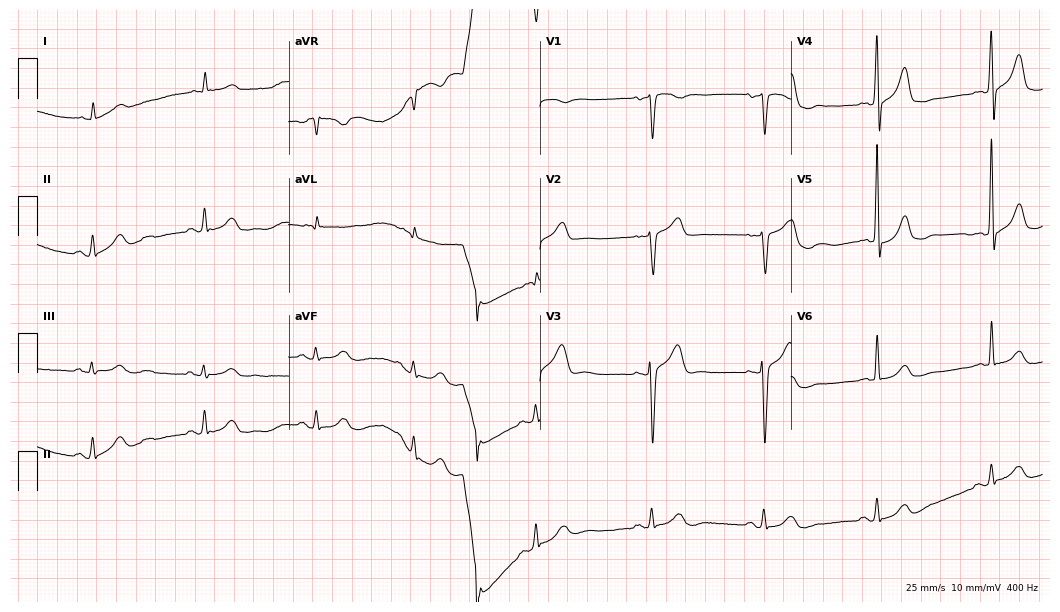
Resting 12-lead electrocardiogram (10.2-second recording at 400 Hz). Patient: a male, 69 years old. None of these six findings is recorded: first-degree AV block, right bundle branch block, left bundle branch block, sinus bradycardia, atrial fibrillation, sinus tachycardia.